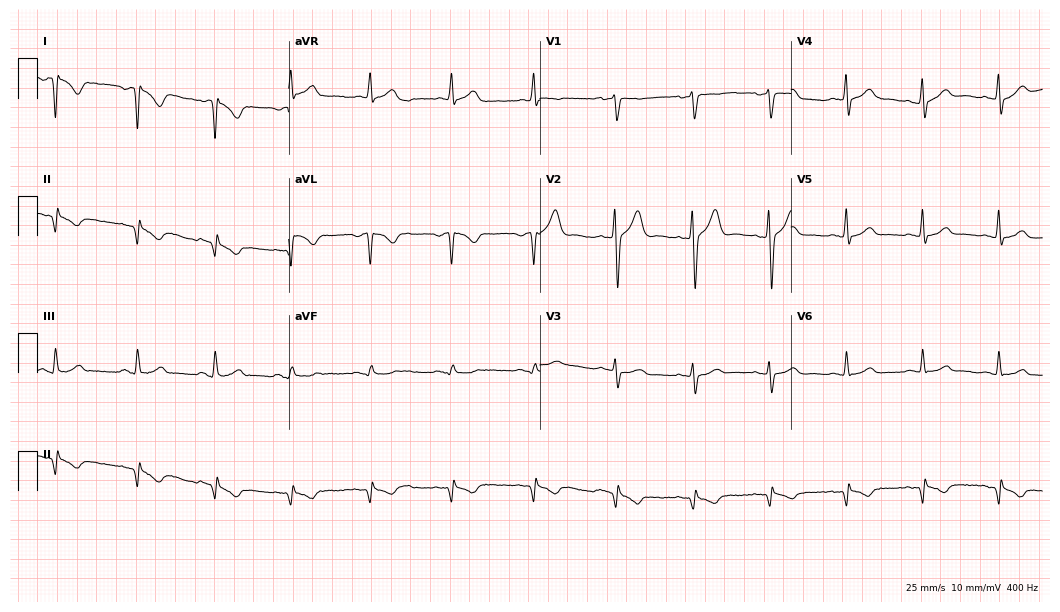
Standard 12-lead ECG recorded from a 37-year-old male patient. None of these six findings is recorded: first-degree AV block, right bundle branch block, left bundle branch block, sinus bradycardia, atrial fibrillation, sinus tachycardia.